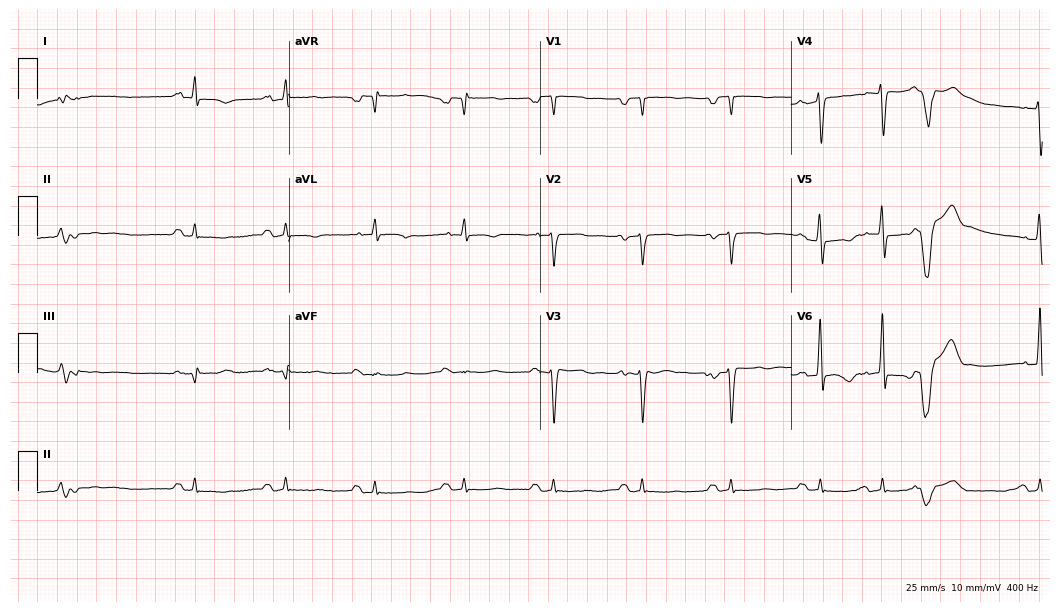
12-lead ECG from a male, 61 years old. Findings include first-degree AV block.